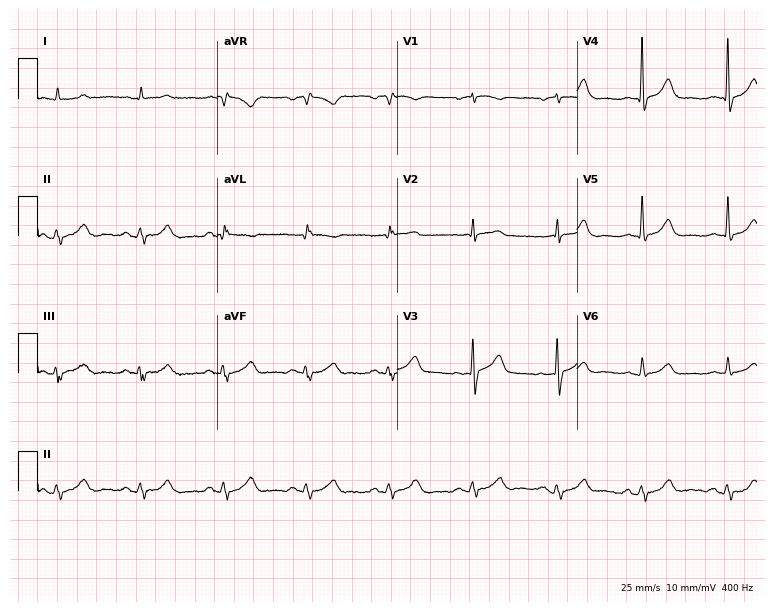
12-lead ECG from a male patient, 84 years old. Labelled as a normal ECG.